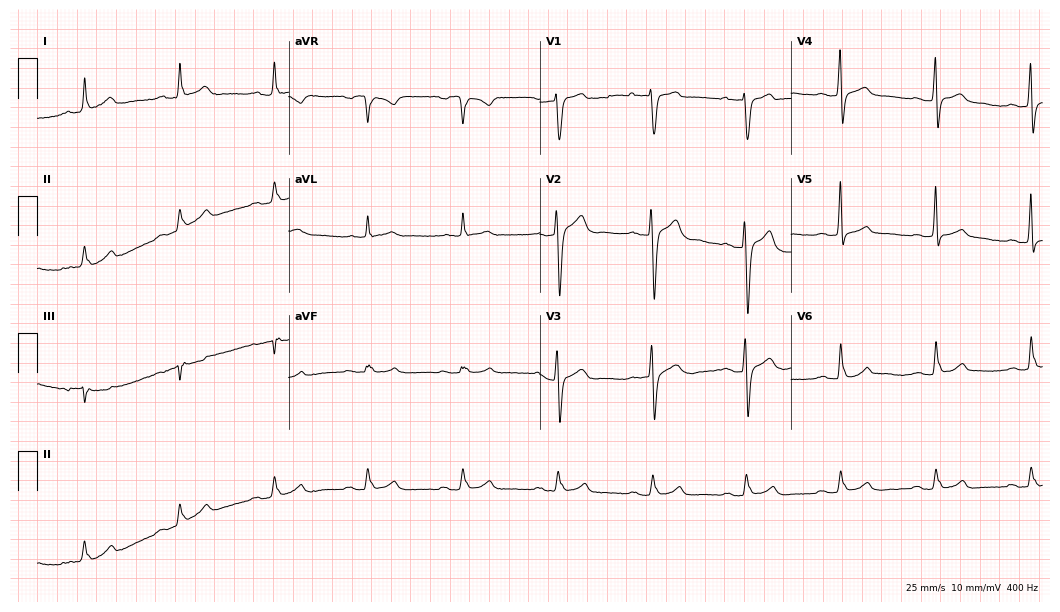
Resting 12-lead electrocardiogram. Patient: a 69-year-old male. None of these six findings is recorded: first-degree AV block, right bundle branch block, left bundle branch block, sinus bradycardia, atrial fibrillation, sinus tachycardia.